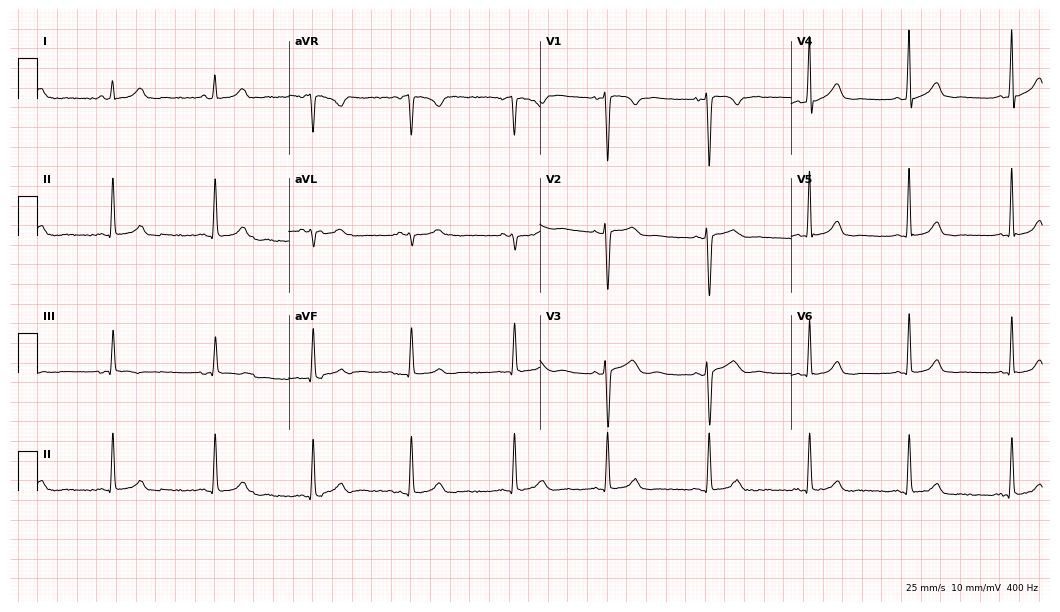
Standard 12-lead ECG recorded from a 33-year-old female patient. Read as a normal ECG.